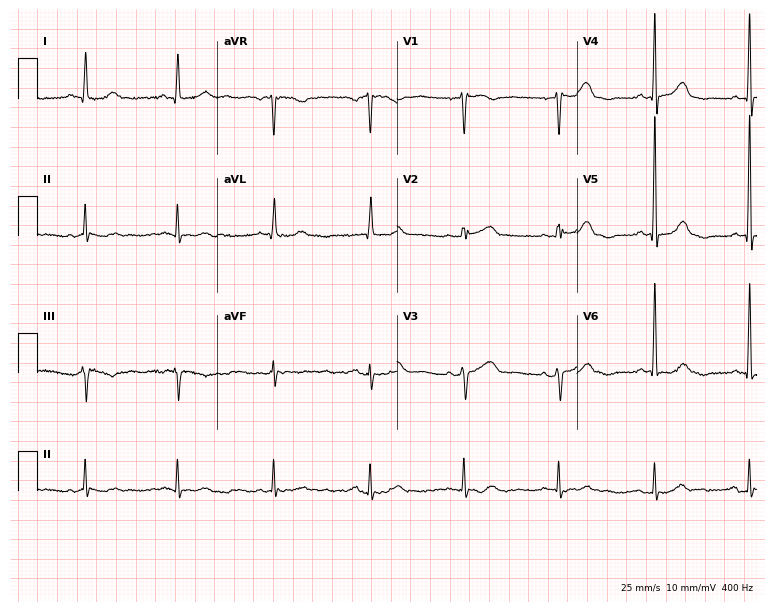
ECG — a 73-year-old female. Labelled as a normal ECG.